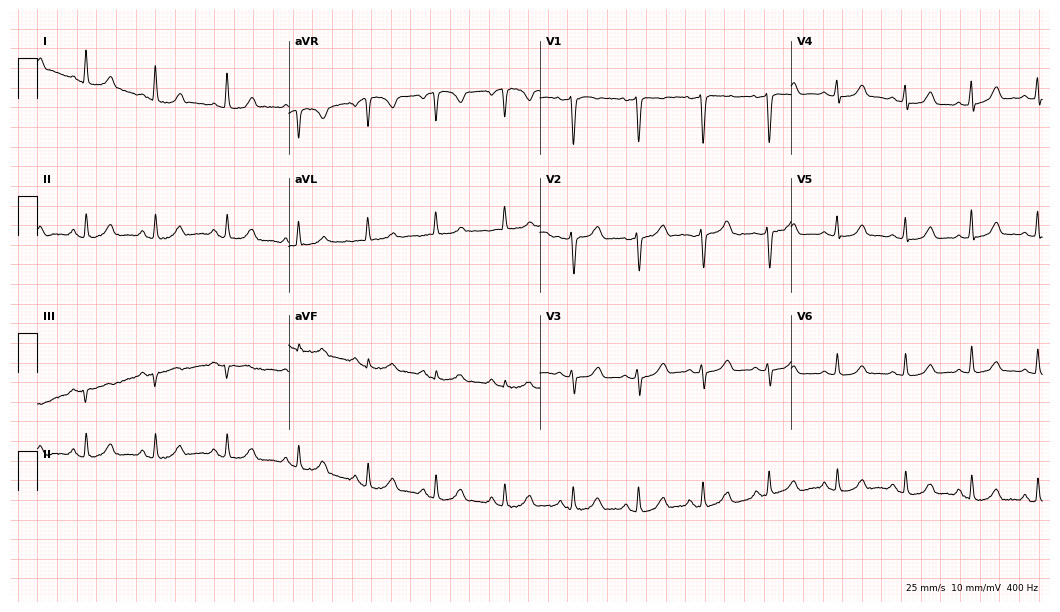
Electrocardiogram (10.2-second recording at 400 Hz), a female patient, 43 years old. Overall reading on record: normal ECG.